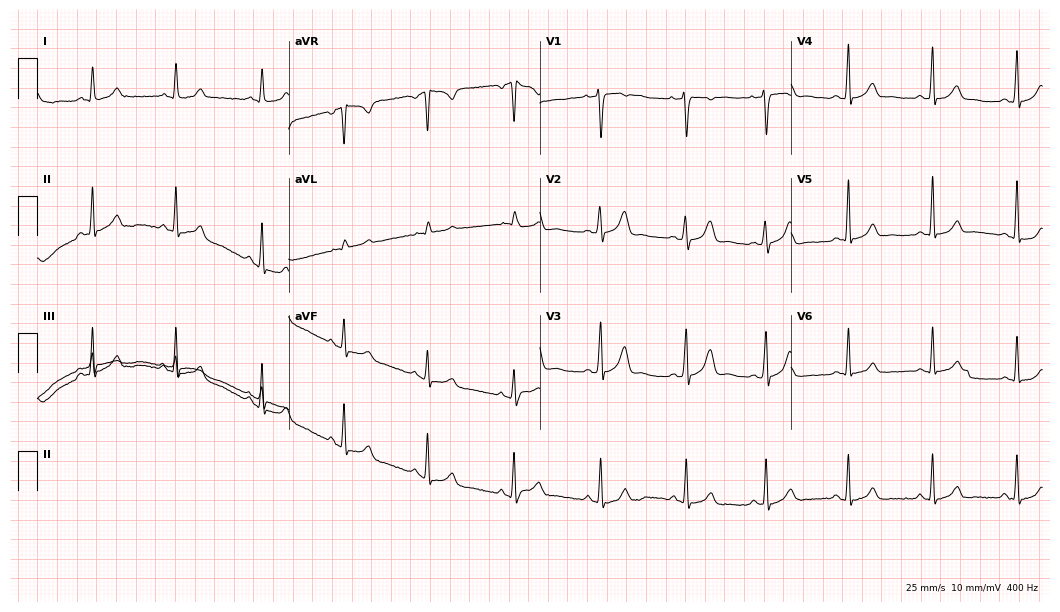
Standard 12-lead ECG recorded from a female, 31 years old (10.2-second recording at 400 Hz). Read as a normal ECG.